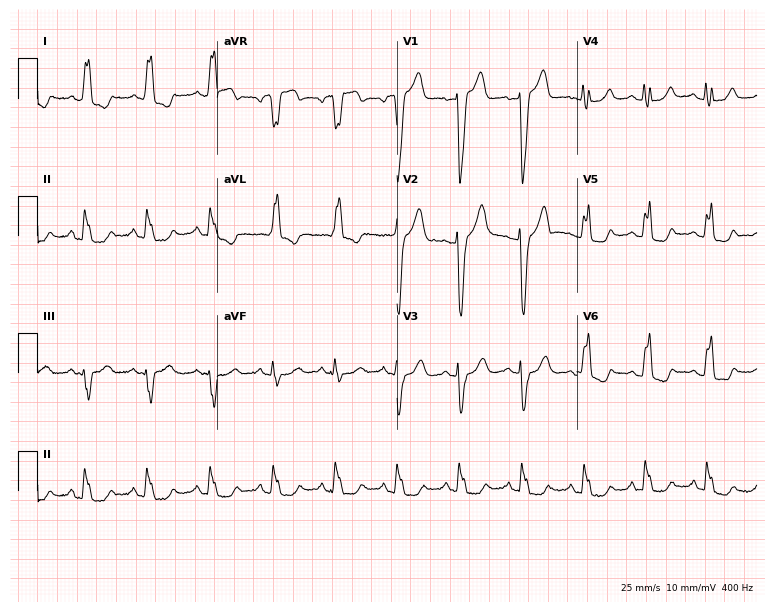
Resting 12-lead electrocardiogram (7.3-second recording at 400 Hz). Patient: a female, 71 years old. The tracing shows left bundle branch block (LBBB).